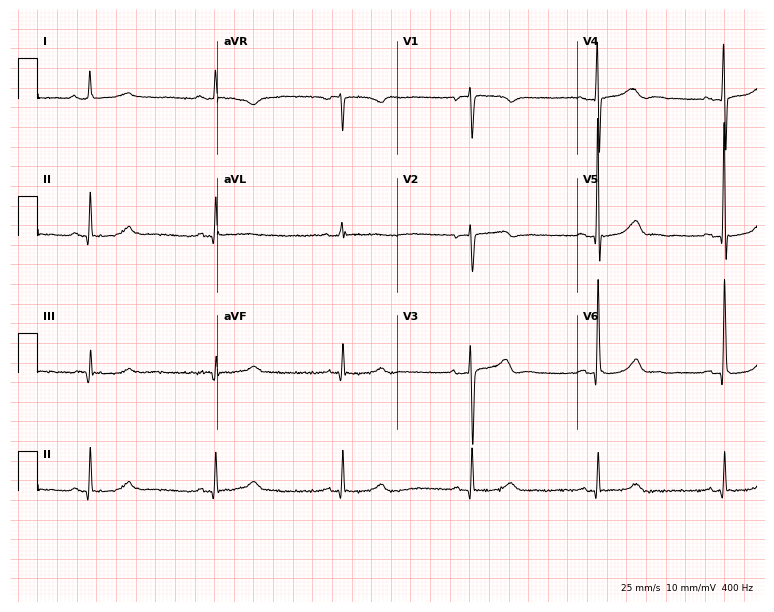
Resting 12-lead electrocardiogram (7.3-second recording at 400 Hz). Patient: a man, 75 years old. The tracing shows sinus bradycardia (a sinus rate of 50 beats per minute or less).